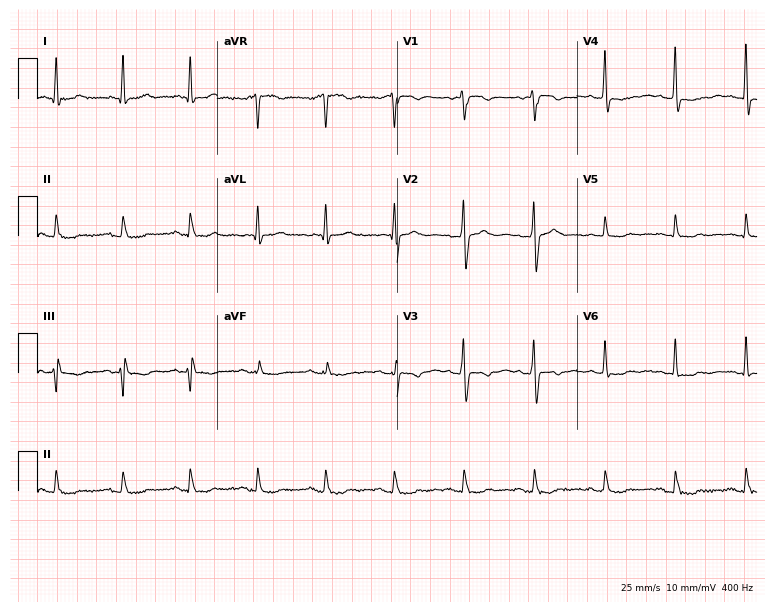
12-lead ECG from a man, 82 years old. Screened for six findings — first-degree AV block, right bundle branch block, left bundle branch block, sinus bradycardia, atrial fibrillation, sinus tachycardia — none is recorded.